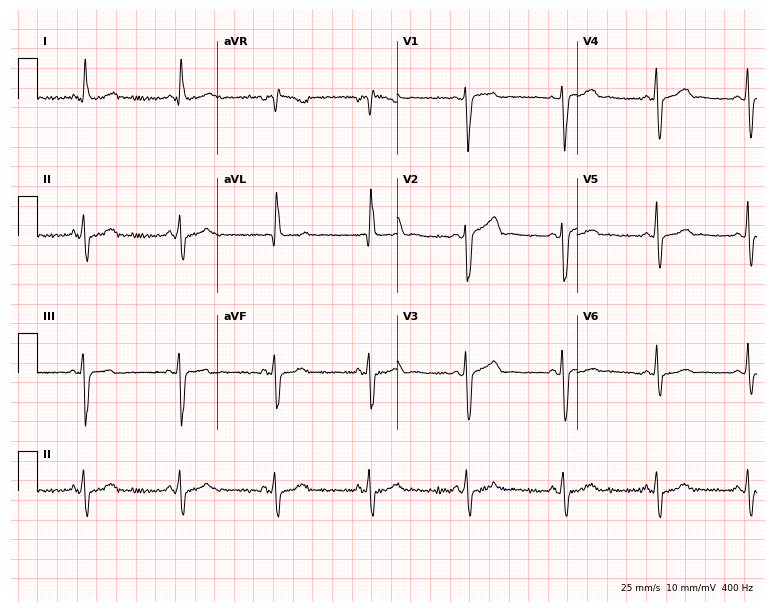
ECG — a female, 69 years old. Screened for six findings — first-degree AV block, right bundle branch block, left bundle branch block, sinus bradycardia, atrial fibrillation, sinus tachycardia — none is recorded. Findings outside these six are not listed.